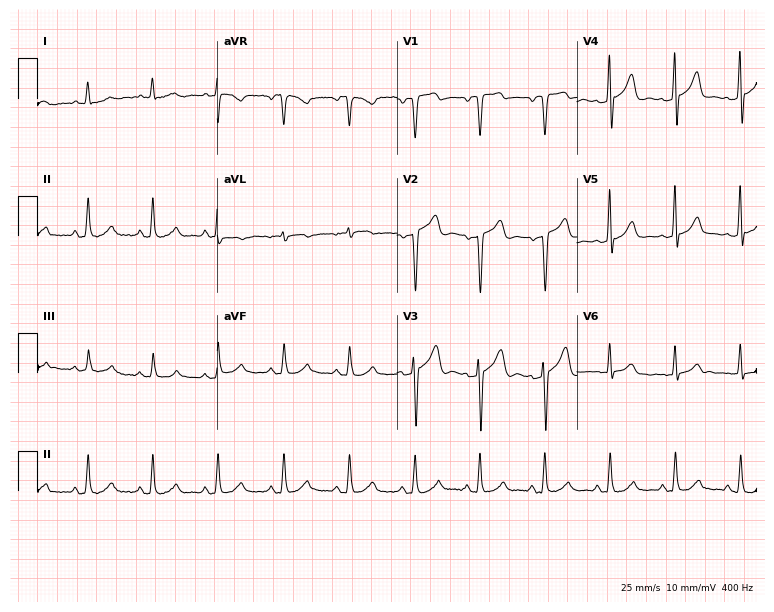
12-lead ECG (7.3-second recording at 400 Hz) from a male patient, 54 years old. Screened for six findings — first-degree AV block, right bundle branch block, left bundle branch block, sinus bradycardia, atrial fibrillation, sinus tachycardia — none is recorded. Findings outside these six are not listed.